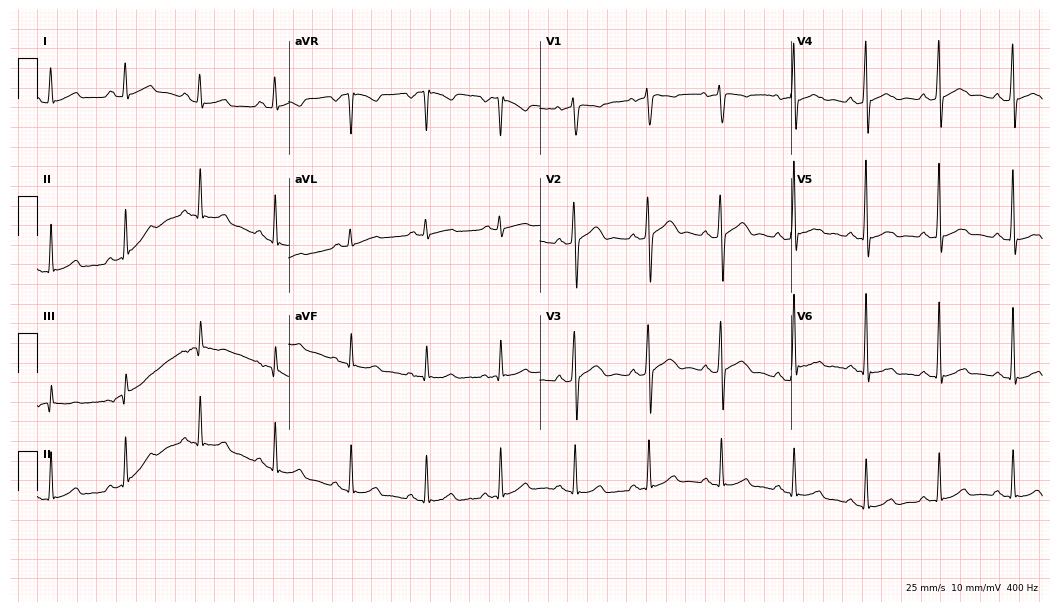
ECG (10.2-second recording at 400 Hz) — a 50-year-old man. Labelled as a normal ECG.